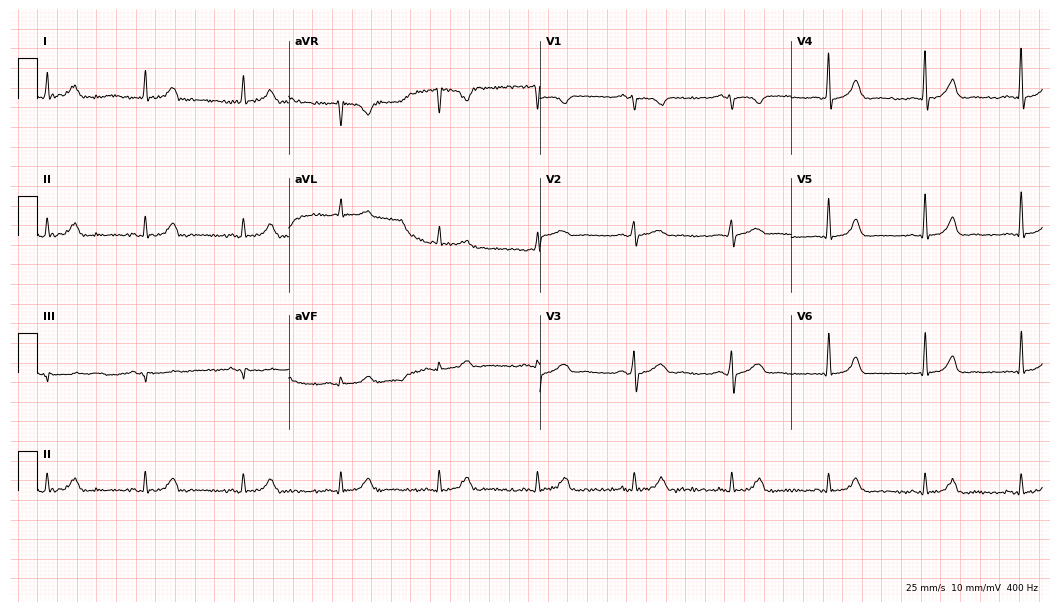
12-lead ECG (10.2-second recording at 400 Hz) from a female patient, 43 years old. Labelled as a normal ECG.